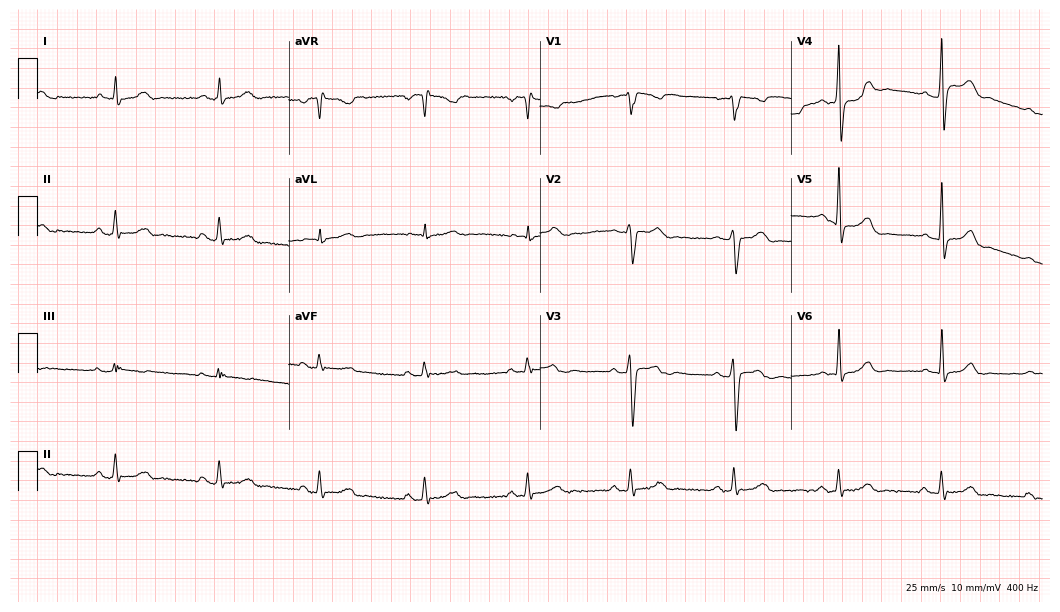
Electrocardiogram, a male, 34 years old. Of the six screened findings (first-degree AV block, right bundle branch block, left bundle branch block, sinus bradycardia, atrial fibrillation, sinus tachycardia), none is recorded.